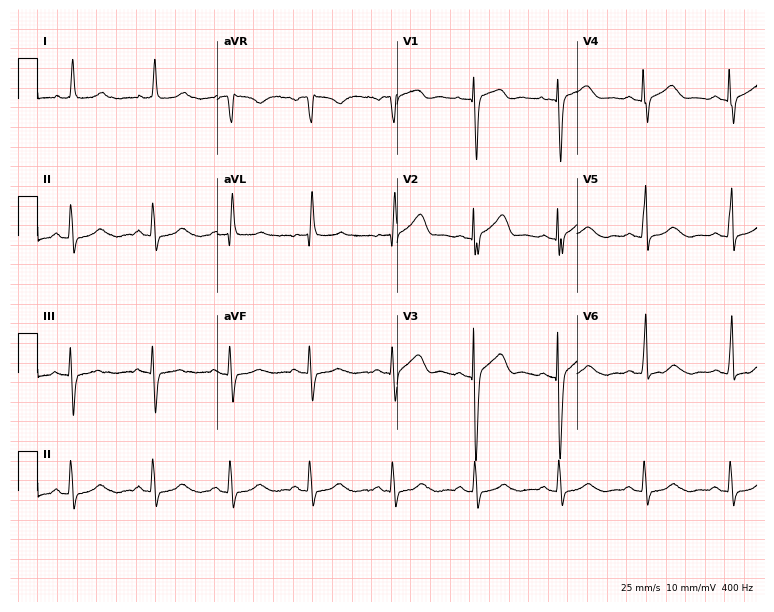
Standard 12-lead ECG recorded from a woman, 73 years old. Read as a normal ECG.